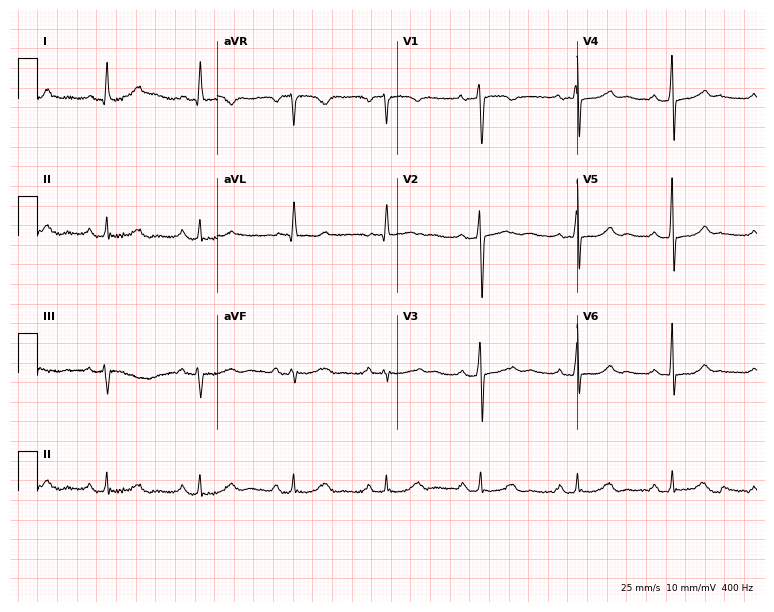
Electrocardiogram (7.3-second recording at 400 Hz), a female, 59 years old. Overall reading on record: normal ECG.